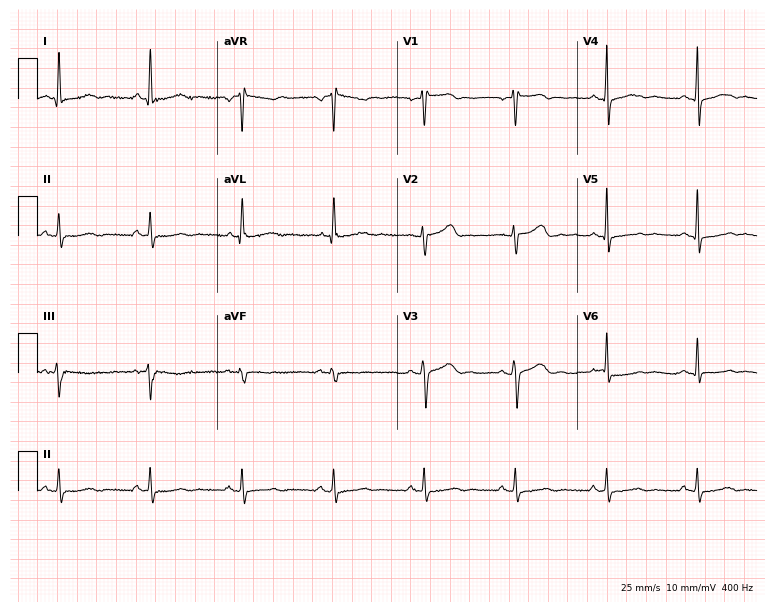
Standard 12-lead ECG recorded from a female, 60 years old (7.3-second recording at 400 Hz). None of these six findings is recorded: first-degree AV block, right bundle branch block, left bundle branch block, sinus bradycardia, atrial fibrillation, sinus tachycardia.